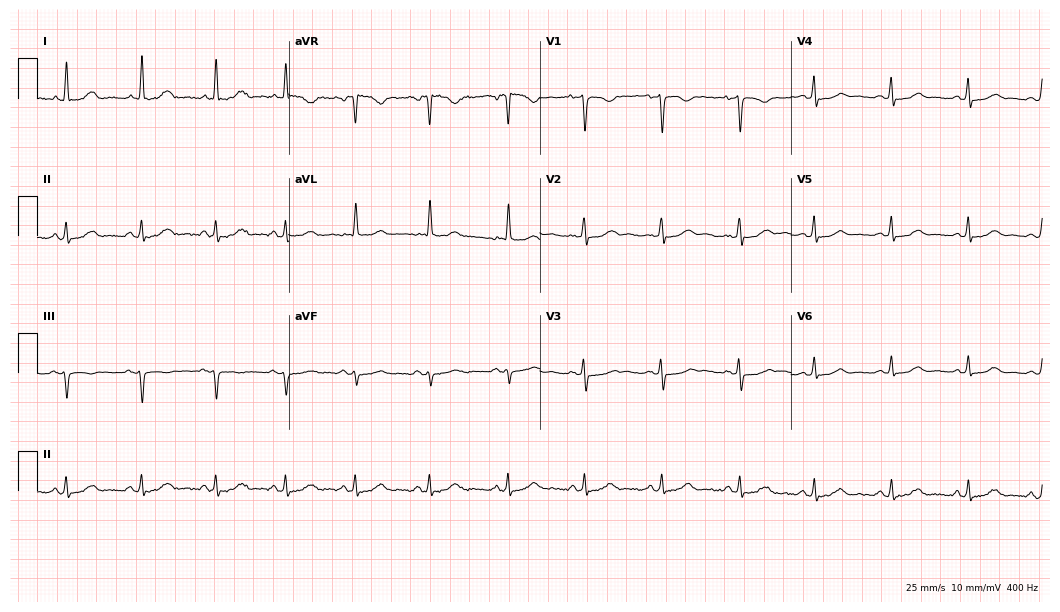
Standard 12-lead ECG recorded from a 42-year-old female patient. Read as a normal ECG.